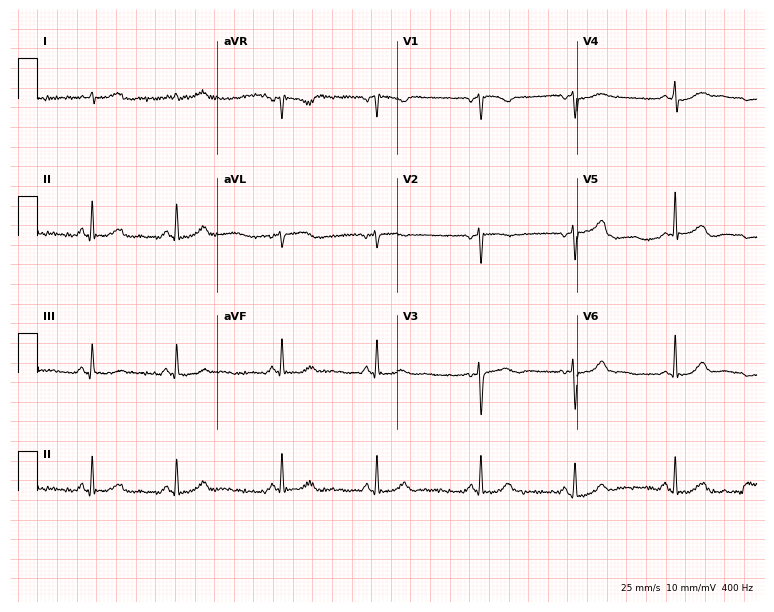
Electrocardiogram (7.3-second recording at 400 Hz), a 29-year-old female. Overall reading on record: normal ECG.